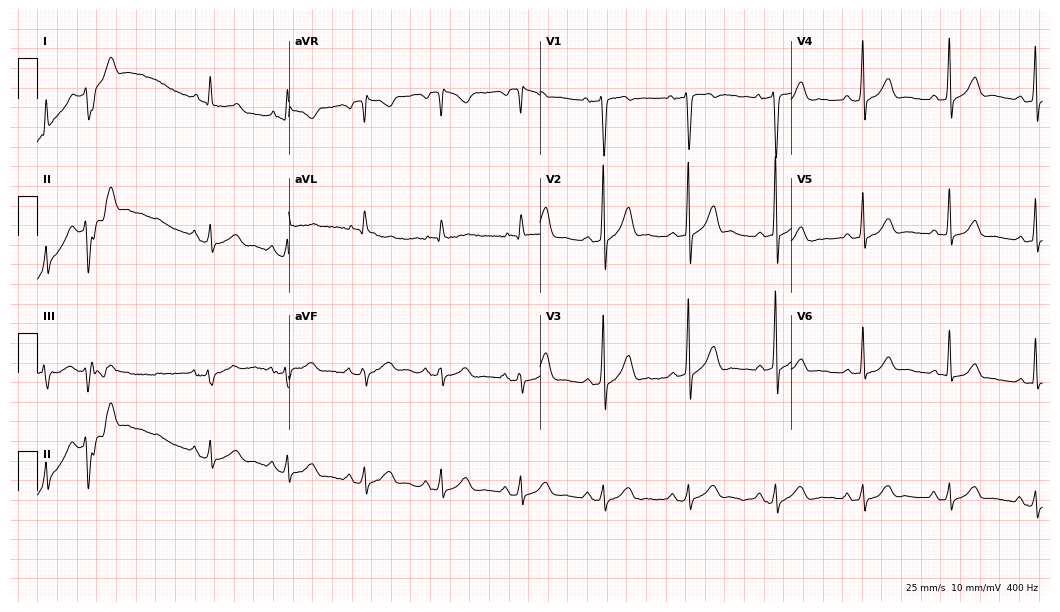
ECG (10.2-second recording at 400 Hz) — a male, 59 years old. Labelled as a normal ECG.